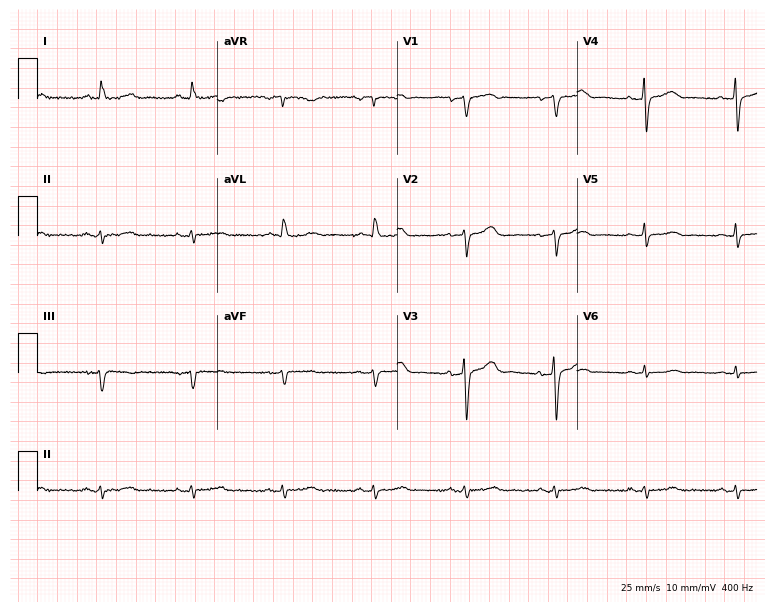
Standard 12-lead ECG recorded from a woman, 62 years old. None of these six findings is recorded: first-degree AV block, right bundle branch block, left bundle branch block, sinus bradycardia, atrial fibrillation, sinus tachycardia.